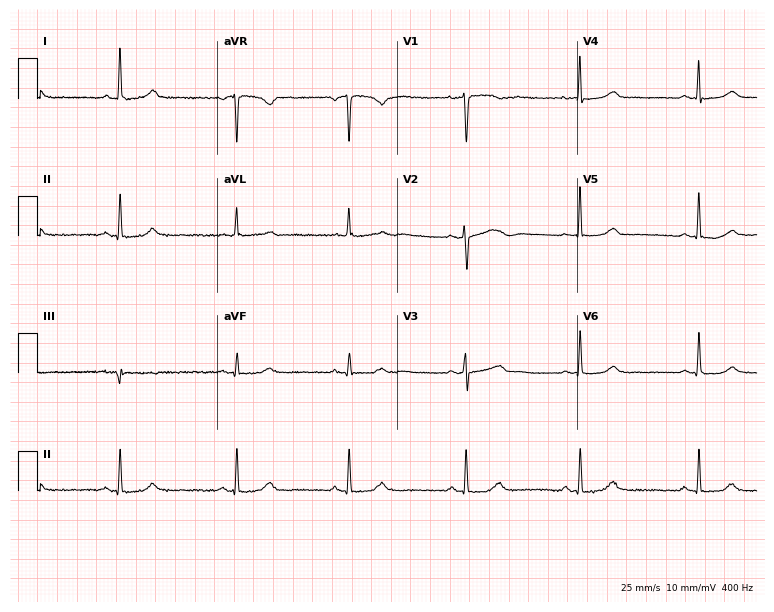
12-lead ECG (7.3-second recording at 400 Hz) from a 53-year-old woman. Screened for six findings — first-degree AV block, right bundle branch block, left bundle branch block, sinus bradycardia, atrial fibrillation, sinus tachycardia — none is recorded.